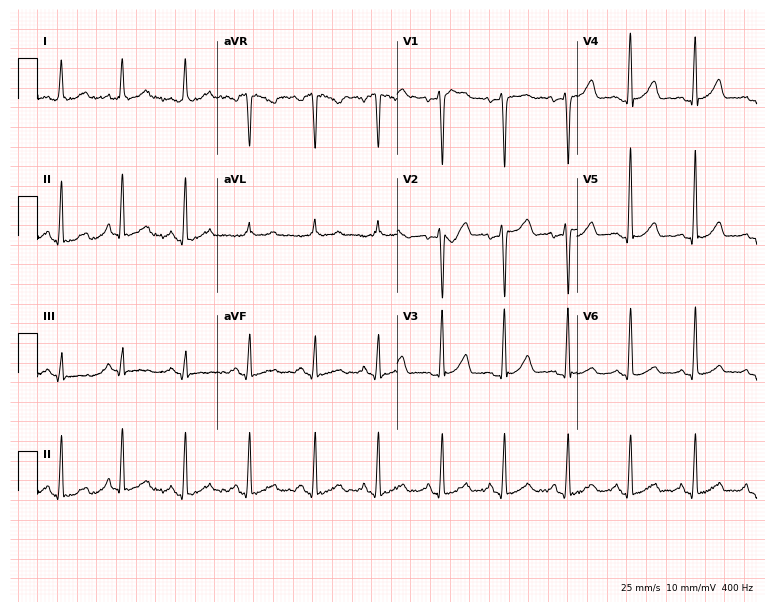
12-lead ECG (7.3-second recording at 400 Hz) from a 39-year-old female. Screened for six findings — first-degree AV block, right bundle branch block, left bundle branch block, sinus bradycardia, atrial fibrillation, sinus tachycardia — none is recorded.